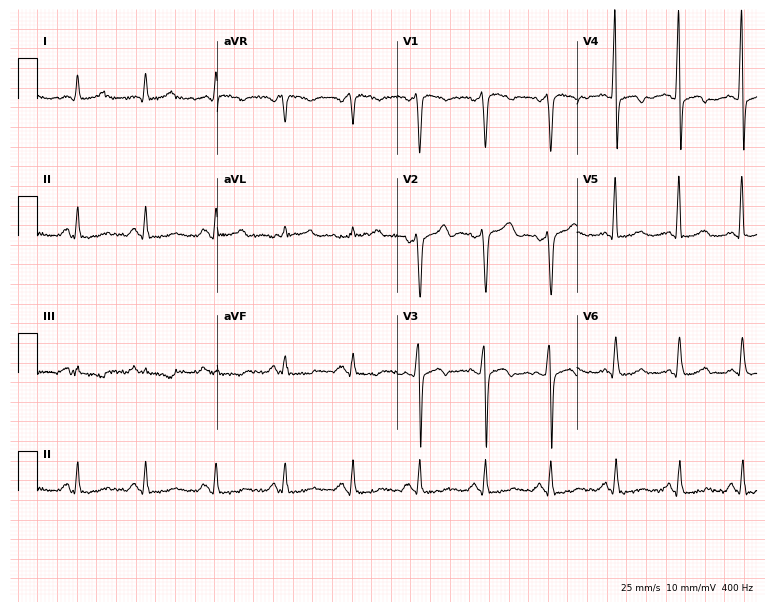
12-lead ECG from a male, 45 years old (7.3-second recording at 400 Hz). No first-degree AV block, right bundle branch block, left bundle branch block, sinus bradycardia, atrial fibrillation or sinus tachycardia recorded for this tracing. Findings outside these six are not listed.